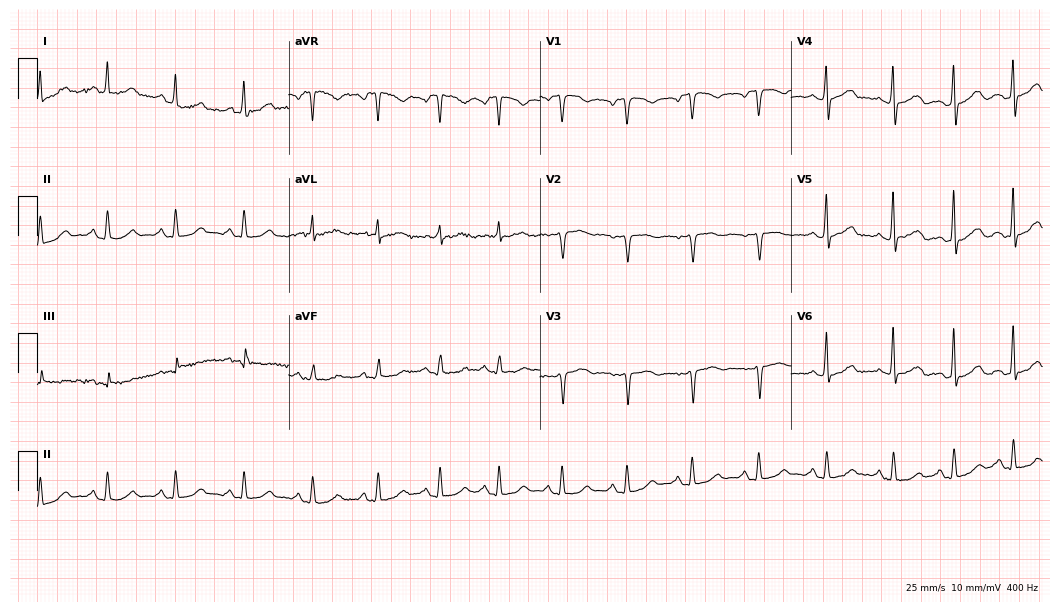
ECG (10.2-second recording at 400 Hz) — a female, 53 years old. Screened for six findings — first-degree AV block, right bundle branch block (RBBB), left bundle branch block (LBBB), sinus bradycardia, atrial fibrillation (AF), sinus tachycardia — none is recorded.